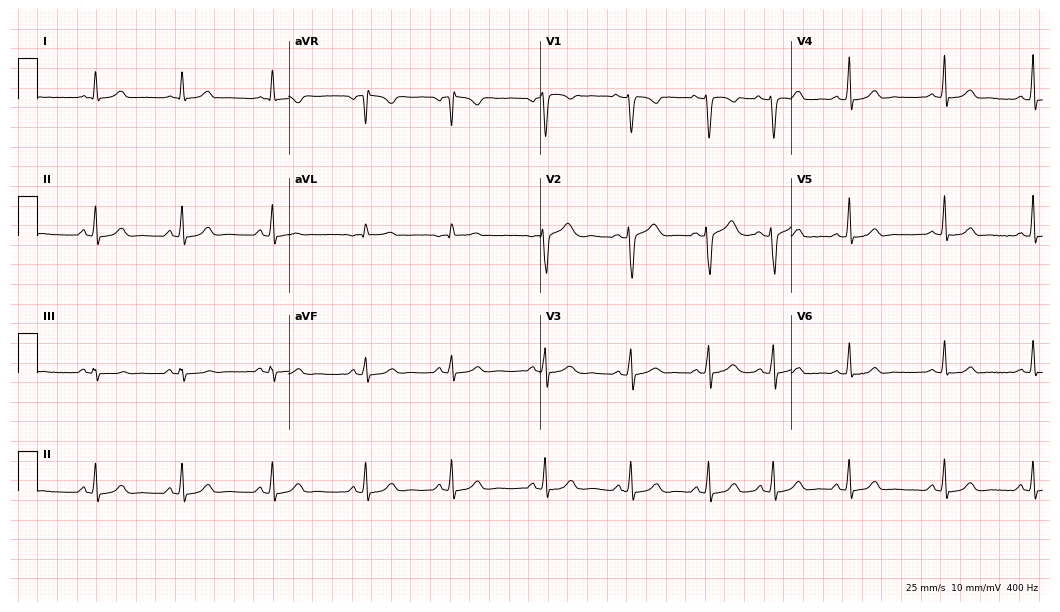
12-lead ECG from a 21-year-old woman (10.2-second recording at 400 Hz). No first-degree AV block, right bundle branch block, left bundle branch block, sinus bradycardia, atrial fibrillation or sinus tachycardia recorded for this tracing.